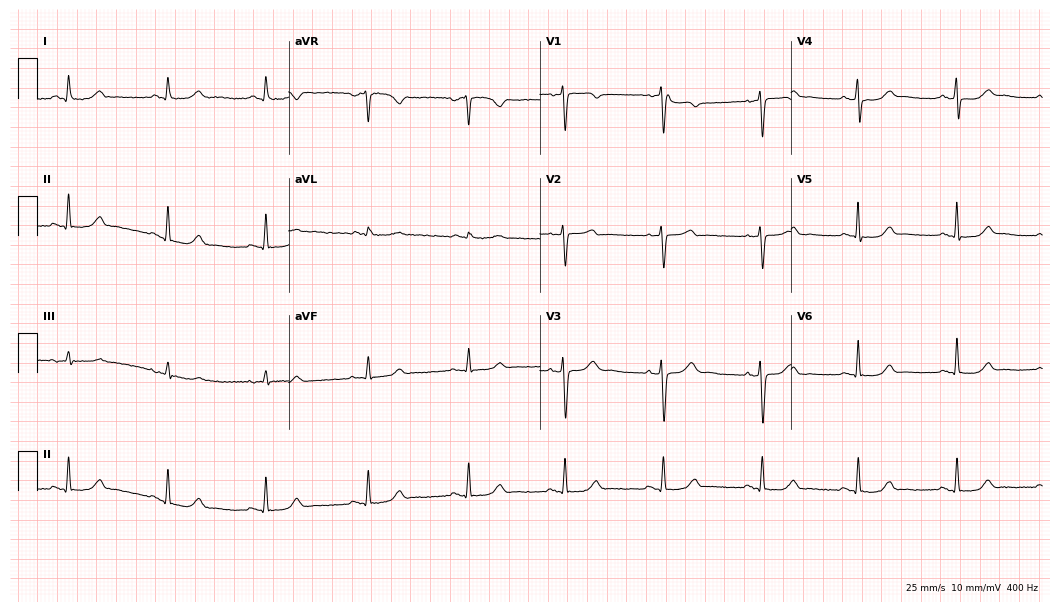
Standard 12-lead ECG recorded from a female patient, 60 years old (10.2-second recording at 400 Hz). None of these six findings is recorded: first-degree AV block, right bundle branch block, left bundle branch block, sinus bradycardia, atrial fibrillation, sinus tachycardia. Findings outside these six are not listed.